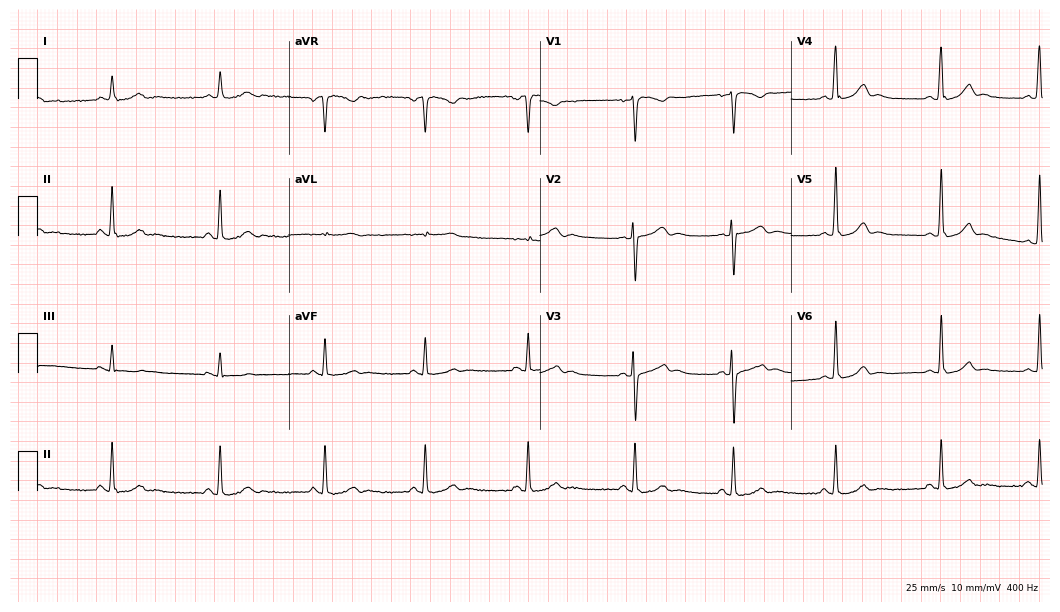
Resting 12-lead electrocardiogram. Patient: a female, 26 years old. Read as a normal ECG.